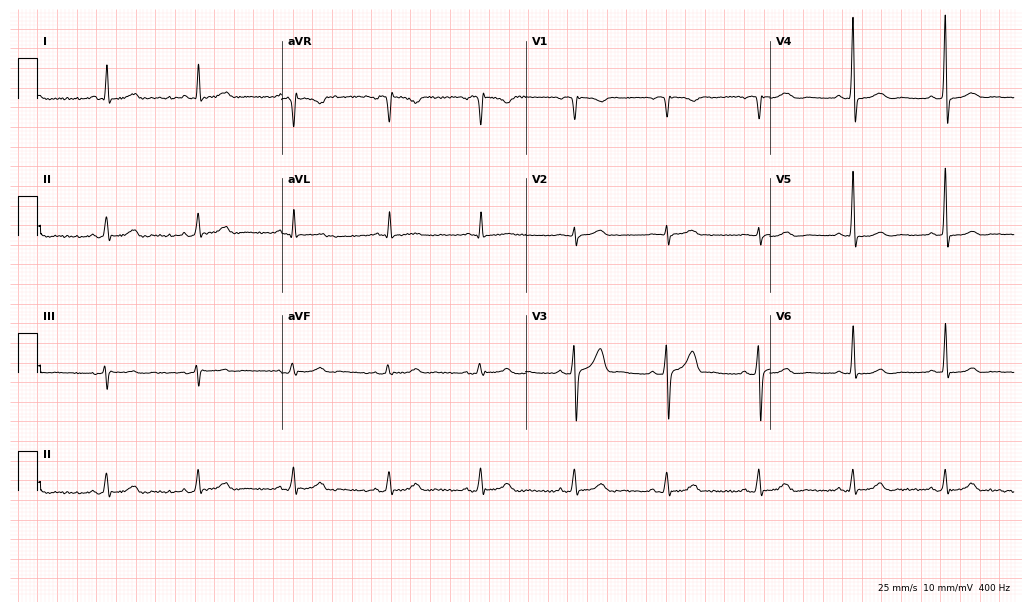
Resting 12-lead electrocardiogram. Patient: a male, 50 years old. Read as a normal ECG.